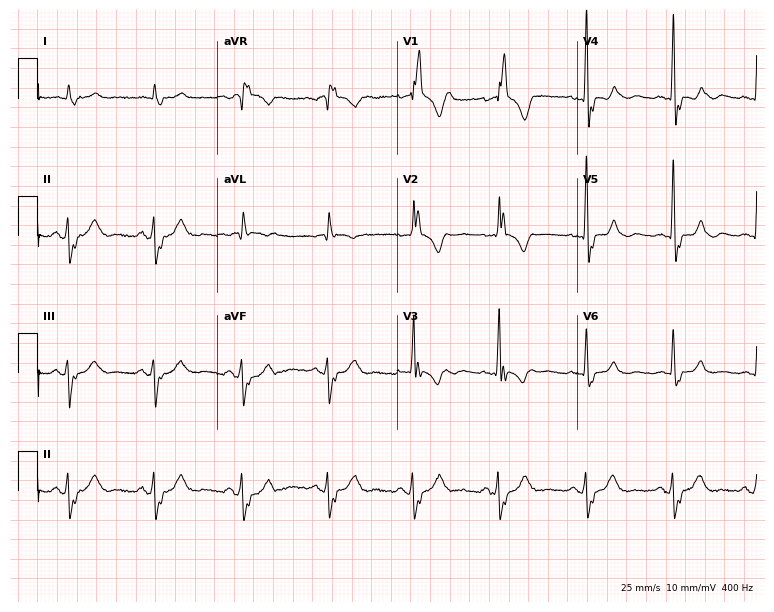
12-lead ECG (7.3-second recording at 400 Hz) from a 75-year-old male patient. Findings include right bundle branch block.